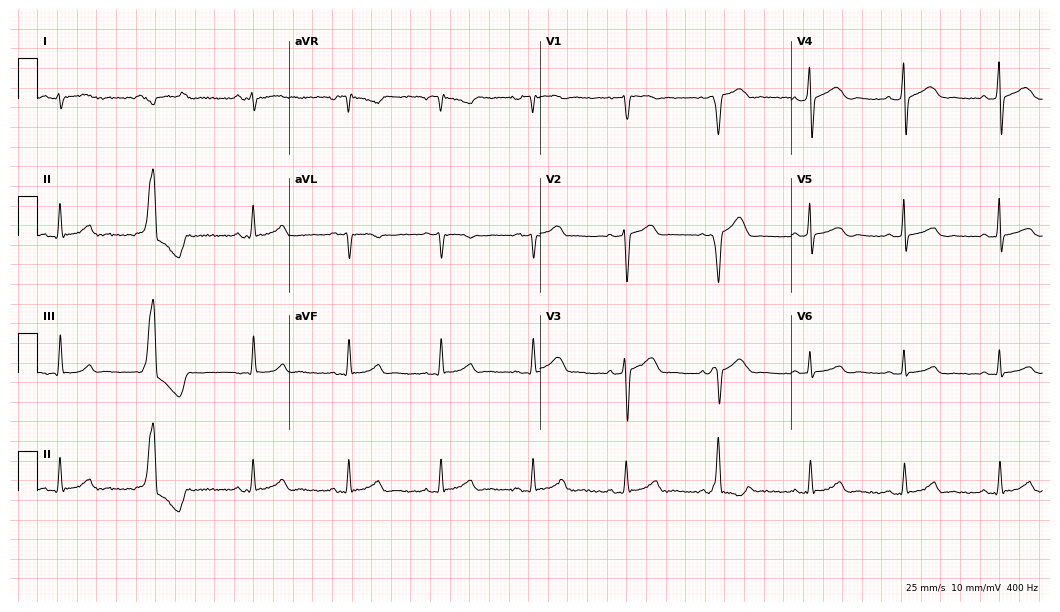
12-lead ECG from a 56-year-old man. Screened for six findings — first-degree AV block, right bundle branch block, left bundle branch block, sinus bradycardia, atrial fibrillation, sinus tachycardia — none is recorded.